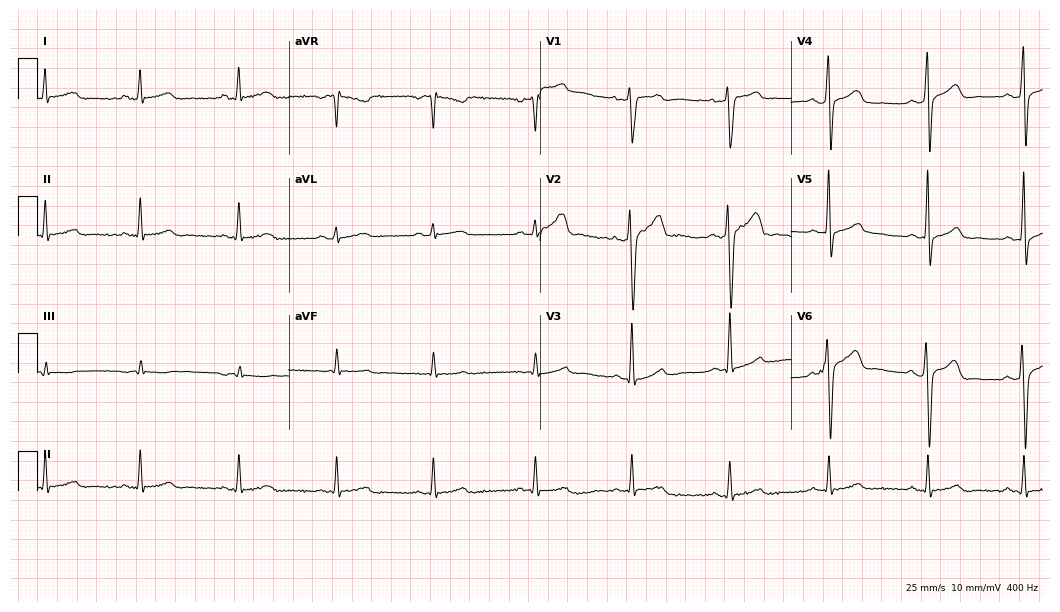
Resting 12-lead electrocardiogram. Patient: a male, 40 years old. Read as a normal ECG.